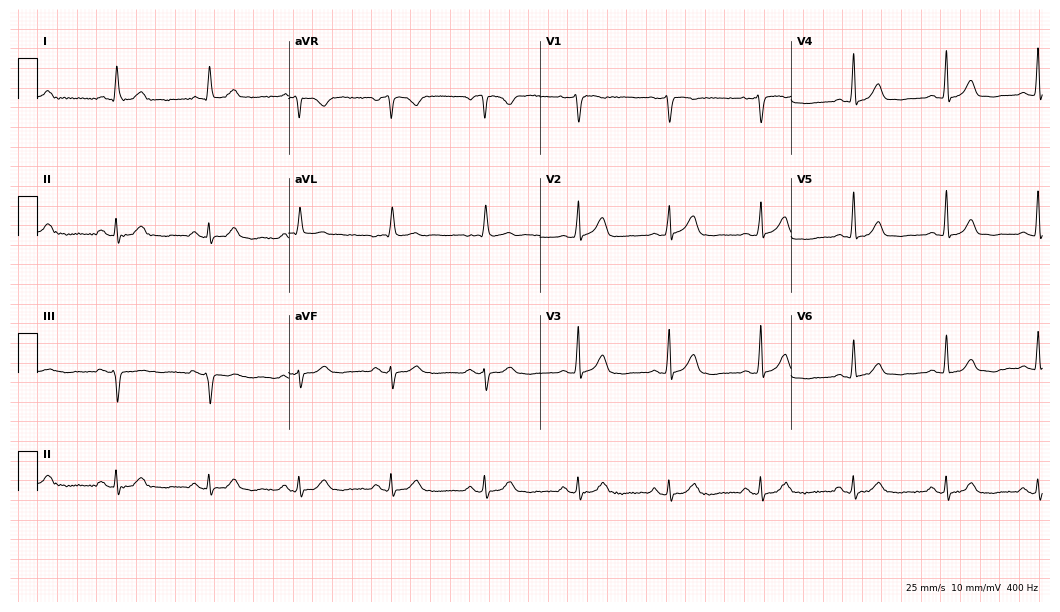
Standard 12-lead ECG recorded from a 59-year-old female. Read as a normal ECG.